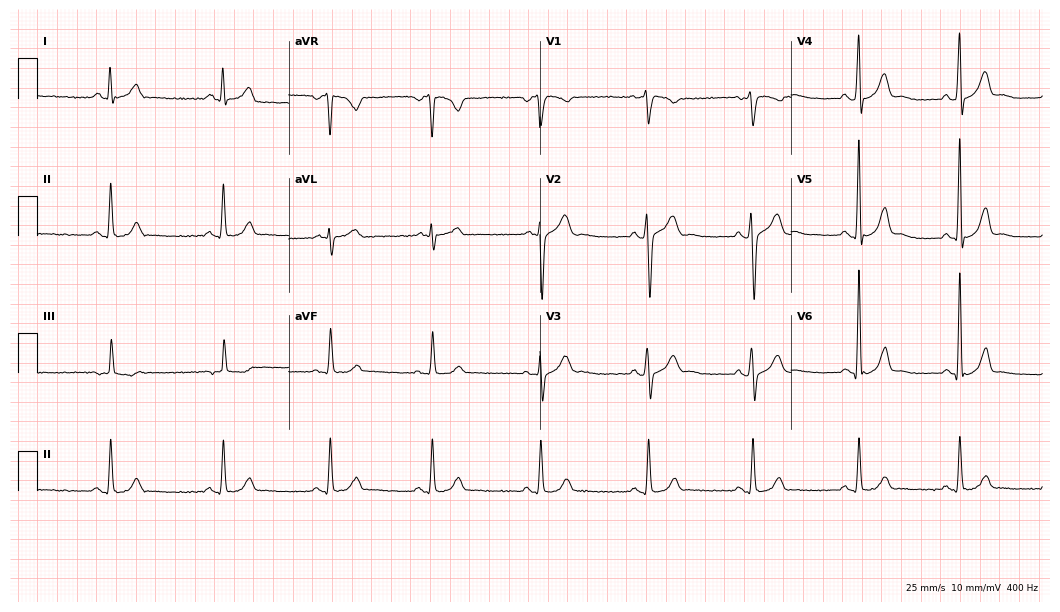
12-lead ECG (10.2-second recording at 400 Hz) from a 37-year-old male. Screened for six findings — first-degree AV block, right bundle branch block, left bundle branch block, sinus bradycardia, atrial fibrillation, sinus tachycardia — none is recorded.